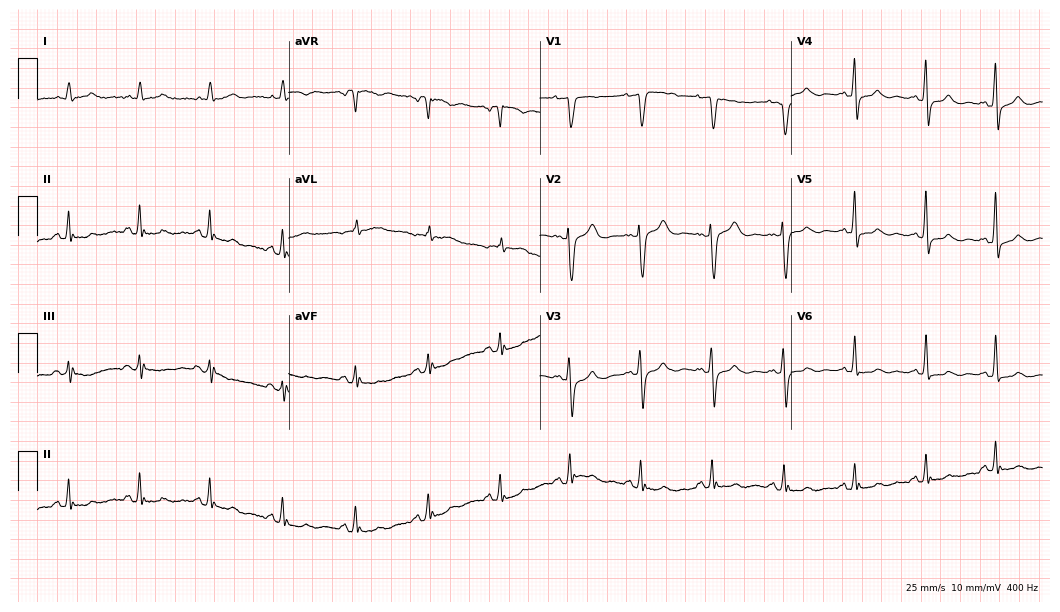
12-lead ECG from a 67-year-old woman. Recorded interpretation: within normal limits.